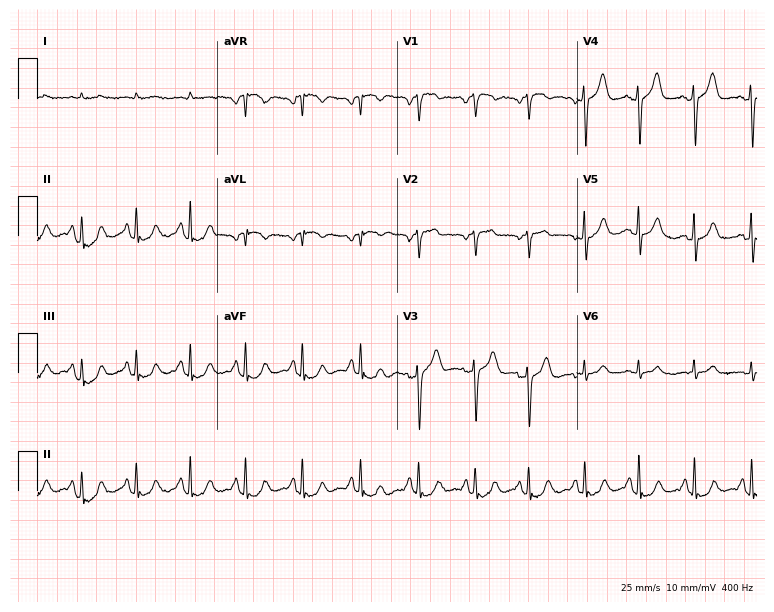
Resting 12-lead electrocardiogram (7.3-second recording at 400 Hz). Patient: a 66-year-old male. The tracing shows sinus tachycardia (a sinus rate of 100 beats per minute or more).